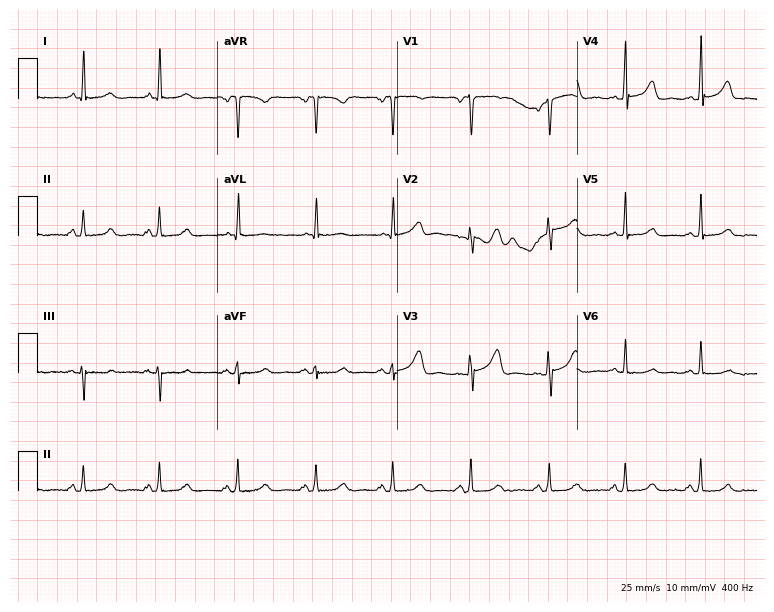
12-lead ECG (7.3-second recording at 400 Hz) from a woman, 41 years old. Screened for six findings — first-degree AV block, right bundle branch block, left bundle branch block, sinus bradycardia, atrial fibrillation, sinus tachycardia — none is recorded. Only these six findings were labelled.